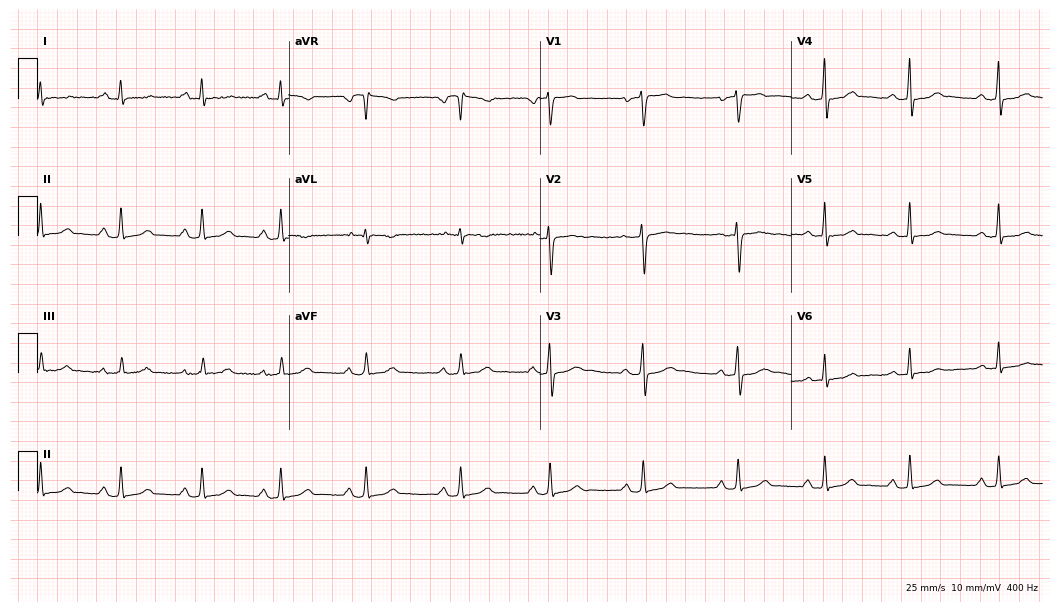
Electrocardiogram, a 26-year-old female patient. Overall reading on record: normal ECG.